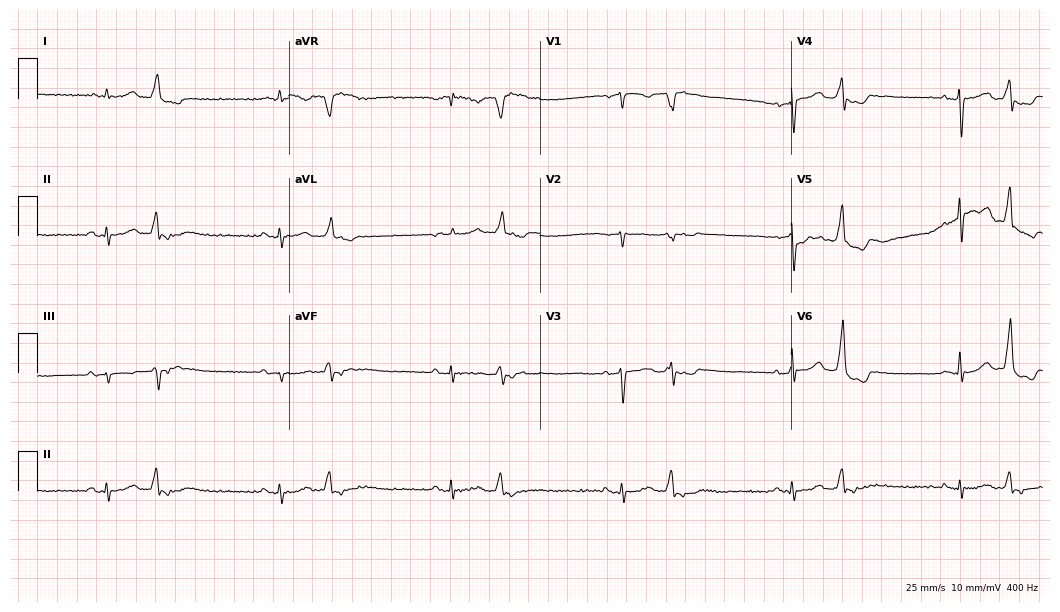
12-lead ECG (10.2-second recording at 400 Hz) from a man, 84 years old. Screened for six findings — first-degree AV block, right bundle branch block (RBBB), left bundle branch block (LBBB), sinus bradycardia, atrial fibrillation (AF), sinus tachycardia — none is recorded.